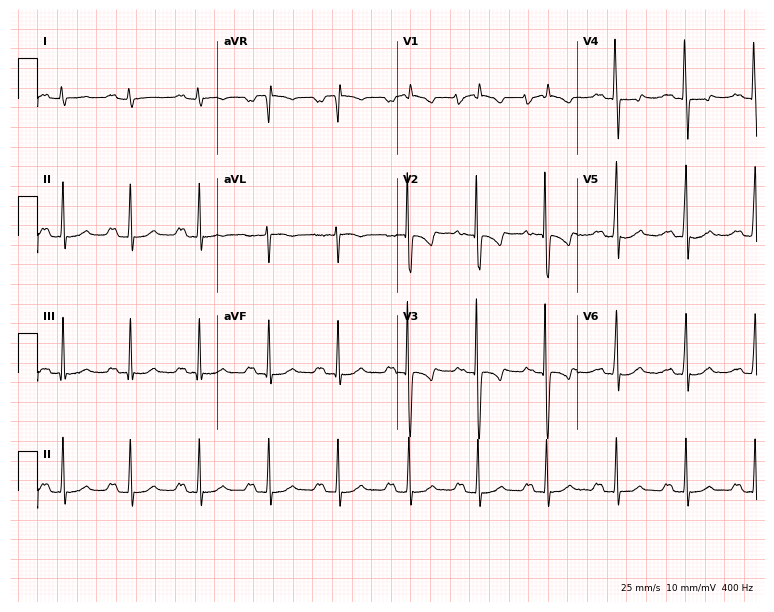
12-lead ECG (7.3-second recording at 400 Hz) from a female patient, 18 years old. Screened for six findings — first-degree AV block, right bundle branch block, left bundle branch block, sinus bradycardia, atrial fibrillation, sinus tachycardia — none is recorded.